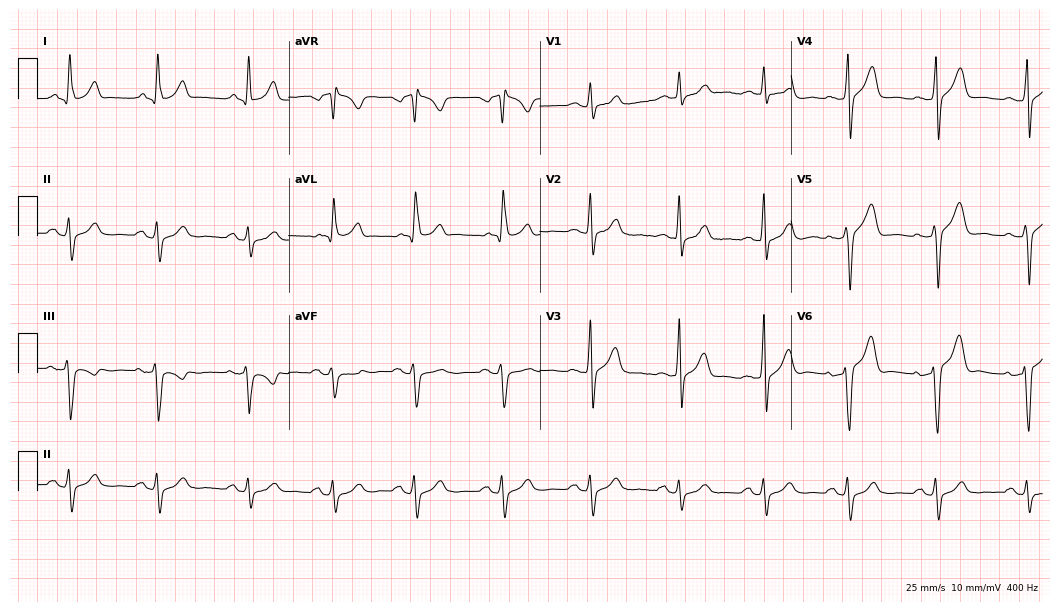
12-lead ECG from a man, 44 years old. Screened for six findings — first-degree AV block, right bundle branch block (RBBB), left bundle branch block (LBBB), sinus bradycardia, atrial fibrillation (AF), sinus tachycardia — none is recorded. Only these six findings were labelled.